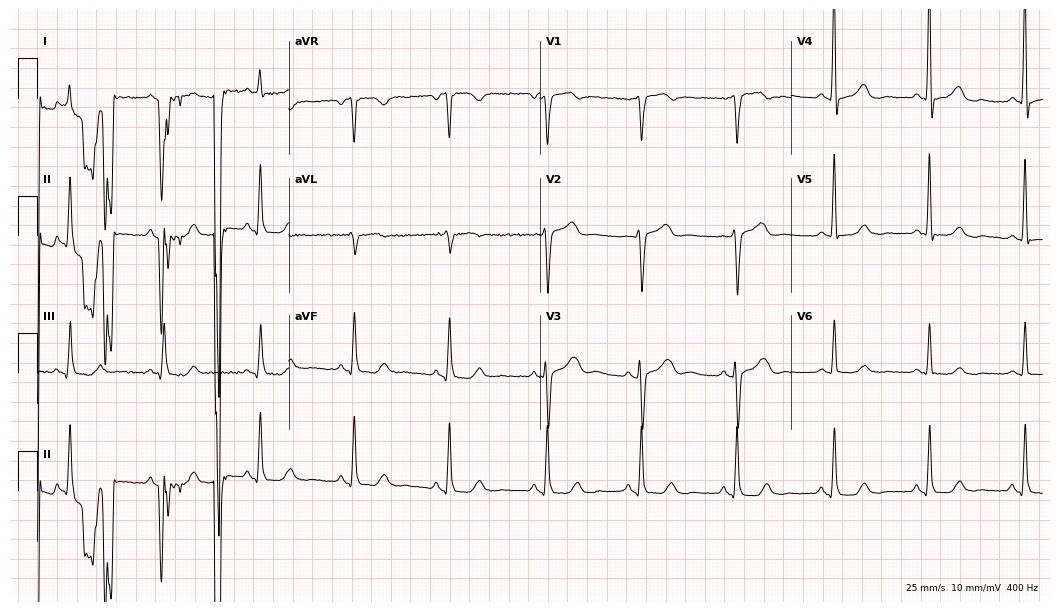
12-lead ECG from a man, 79 years old. No first-degree AV block, right bundle branch block, left bundle branch block, sinus bradycardia, atrial fibrillation or sinus tachycardia recorded for this tracing. Only these six findings were labelled.